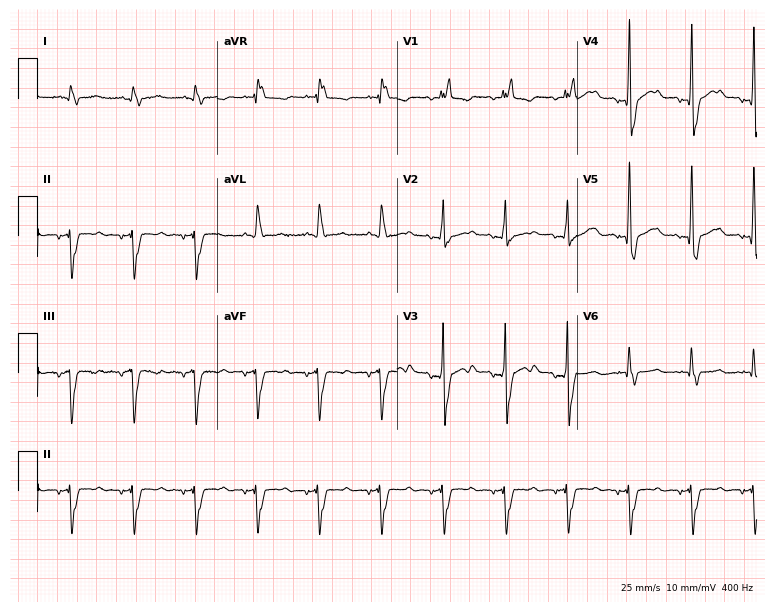
ECG — an 82-year-old male patient. Findings include right bundle branch block (RBBB).